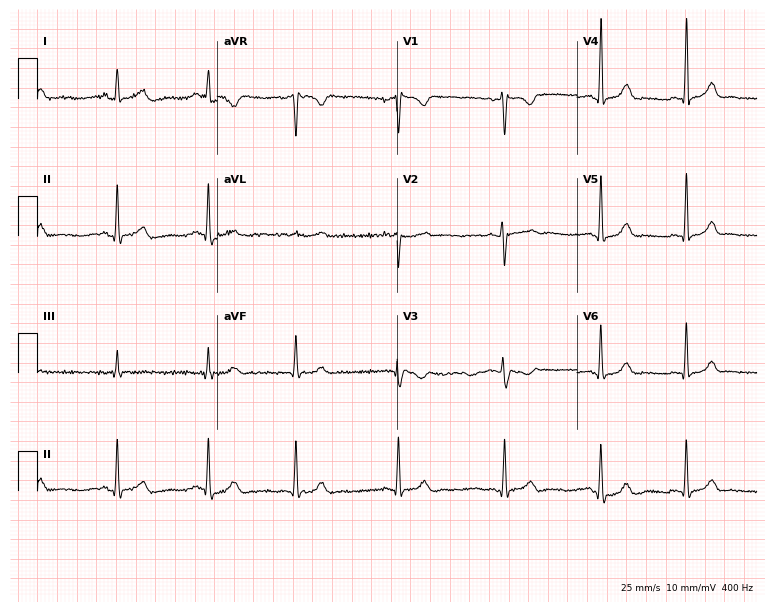
12-lead ECG from a female patient, 25 years old (7.3-second recording at 400 Hz). Recorded interpretation: within normal limits.